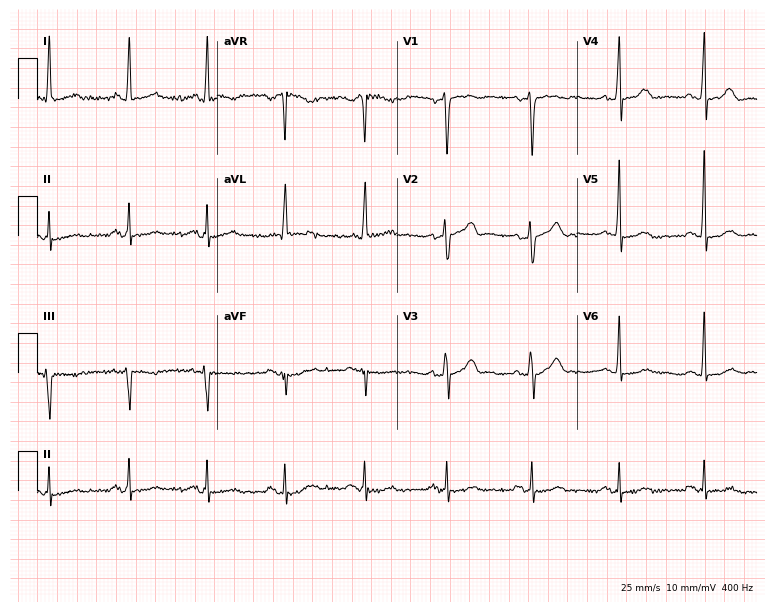
Standard 12-lead ECG recorded from a woman, 58 years old. None of these six findings is recorded: first-degree AV block, right bundle branch block, left bundle branch block, sinus bradycardia, atrial fibrillation, sinus tachycardia.